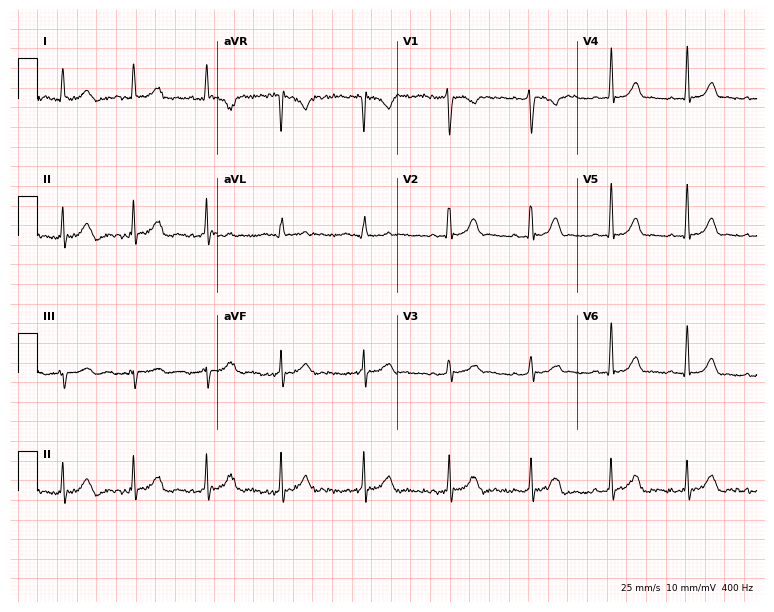
12-lead ECG from a 20-year-old female patient. Labelled as a normal ECG.